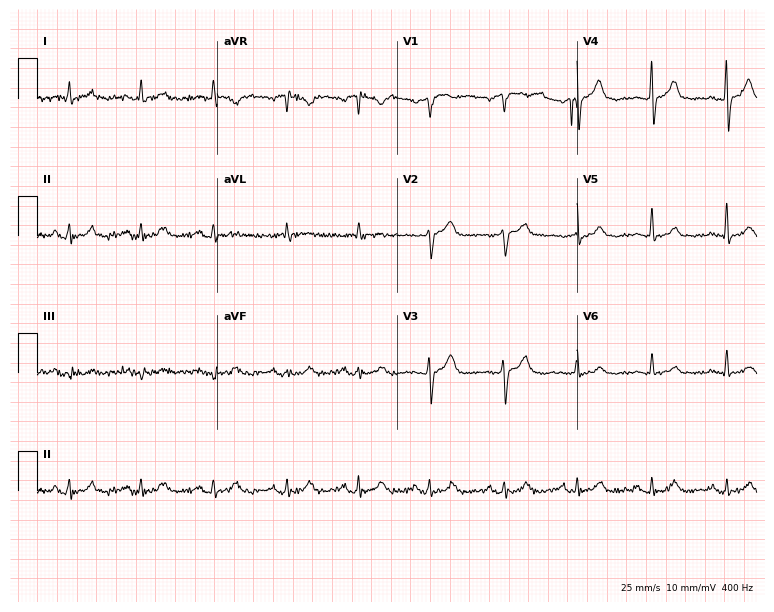
Resting 12-lead electrocardiogram (7.3-second recording at 400 Hz). Patient: a male, 75 years old. None of these six findings is recorded: first-degree AV block, right bundle branch block, left bundle branch block, sinus bradycardia, atrial fibrillation, sinus tachycardia. Findings outside these six are not listed.